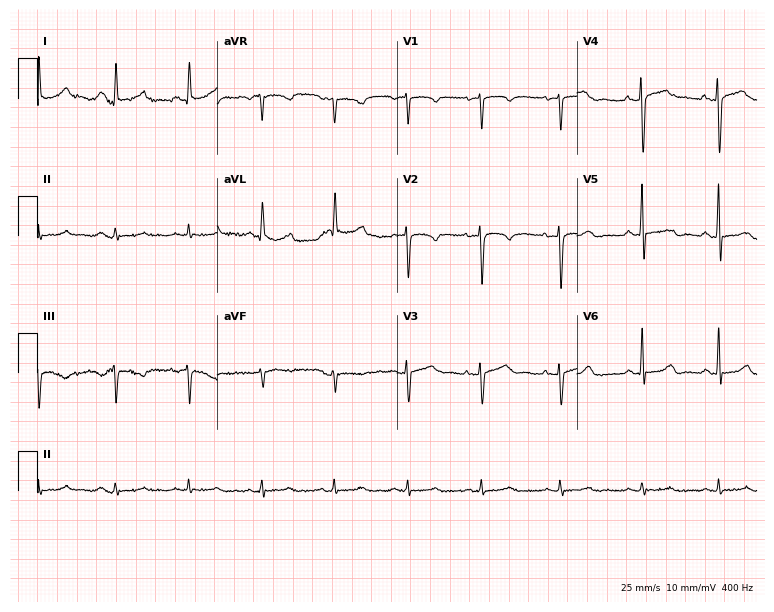
Standard 12-lead ECG recorded from a female patient, 46 years old. None of these six findings is recorded: first-degree AV block, right bundle branch block, left bundle branch block, sinus bradycardia, atrial fibrillation, sinus tachycardia. Findings outside these six are not listed.